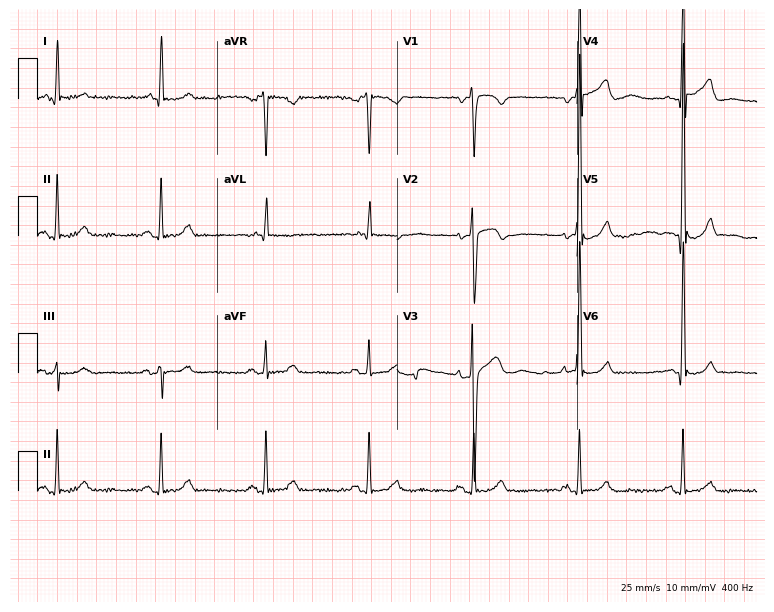
Electrocardiogram, an 84-year-old male. Of the six screened findings (first-degree AV block, right bundle branch block, left bundle branch block, sinus bradycardia, atrial fibrillation, sinus tachycardia), none is recorded.